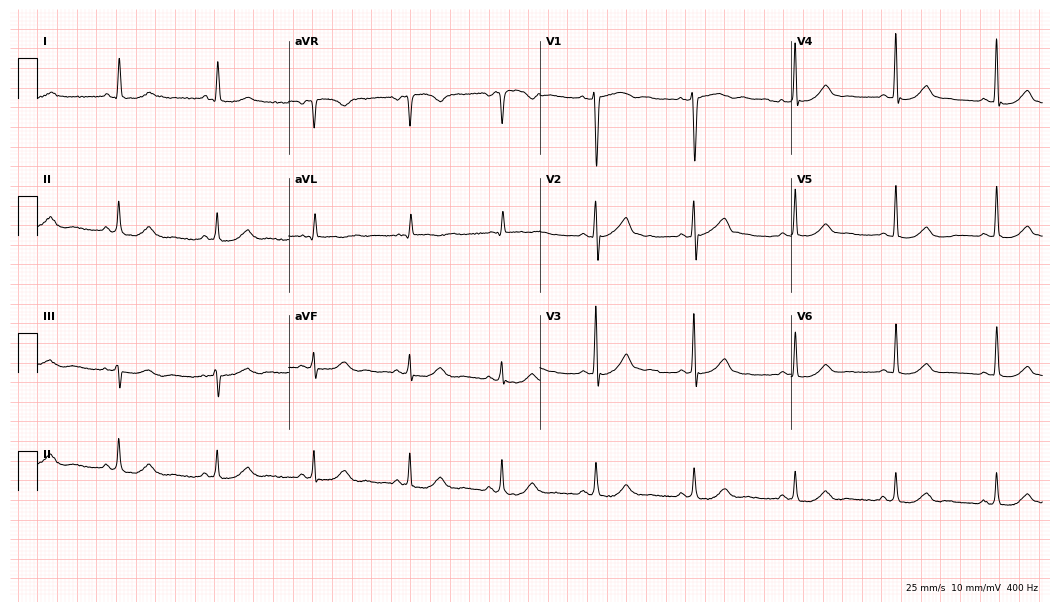
Resting 12-lead electrocardiogram (10.2-second recording at 400 Hz). Patient: a man, 57 years old. None of these six findings is recorded: first-degree AV block, right bundle branch block (RBBB), left bundle branch block (LBBB), sinus bradycardia, atrial fibrillation (AF), sinus tachycardia.